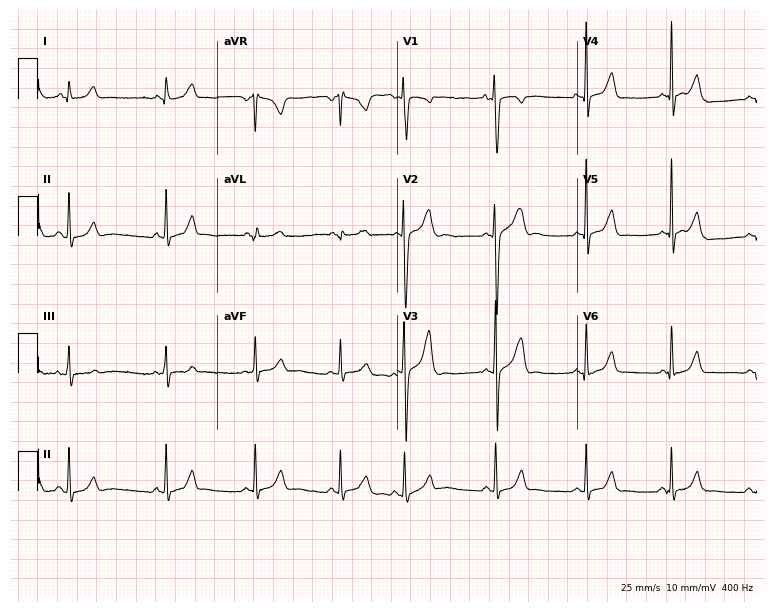
Resting 12-lead electrocardiogram. Patient: a male, 23 years old. None of these six findings is recorded: first-degree AV block, right bundle branch block, left bundle branch block, sinus bradycardia, atrial fibrillation, sinus tachycardia.